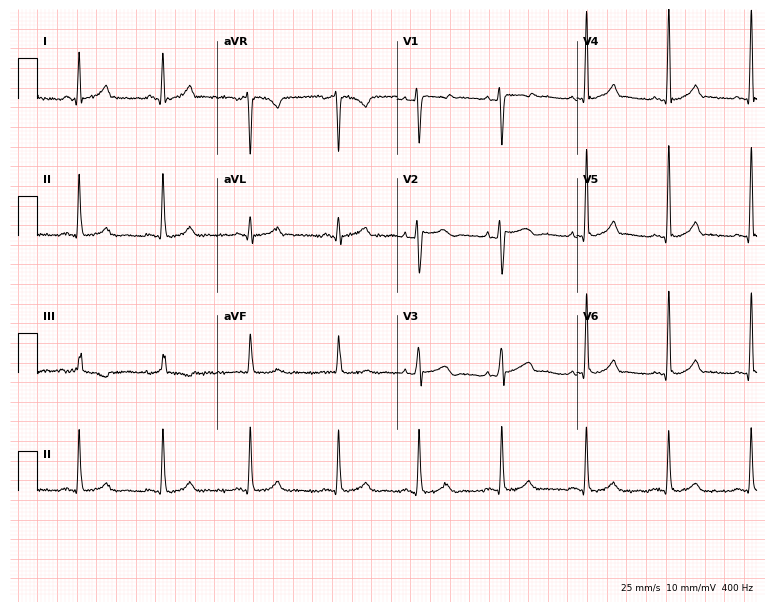
Resting 12-lead electrocardiogram (7.3-second recording at 400 Hz). Patient: a woman, 33 years old. Read as a normal ECG.